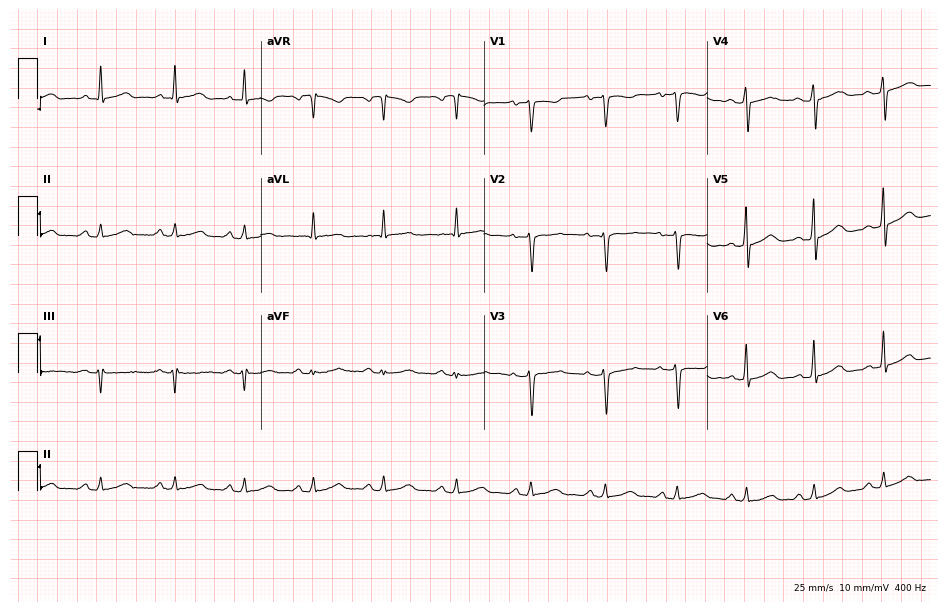
ECG (9.1-second recording at 400 Hz) — a 48-year-old woman. Labelled as a normal ECG.